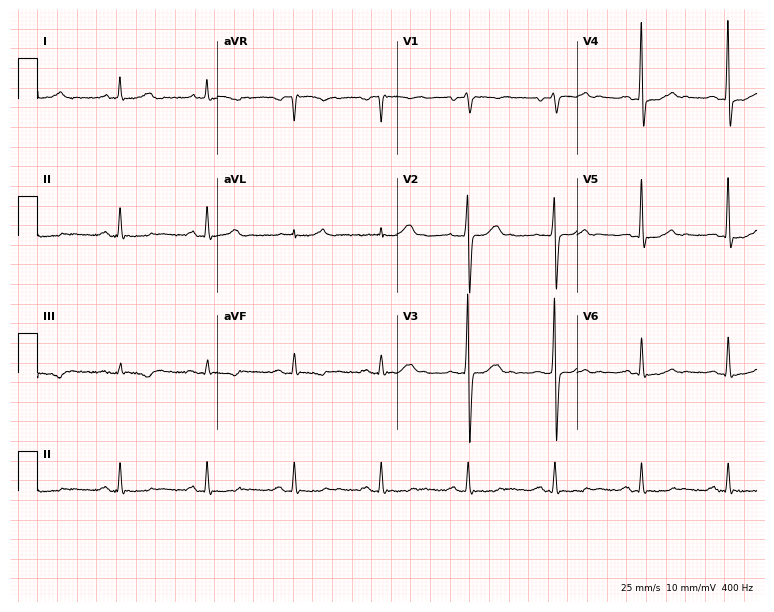
Electrocardiogram (7.3-second recording at 400 Hz), a 42-year-old male patient. Of the six screened findings (first-degree AV block, right bundle branch block, left bundle branch block, sinus bradycardia, atrial fibrillation, sinus tachycardia), none is recorded. Other findings, if any, are not listed.